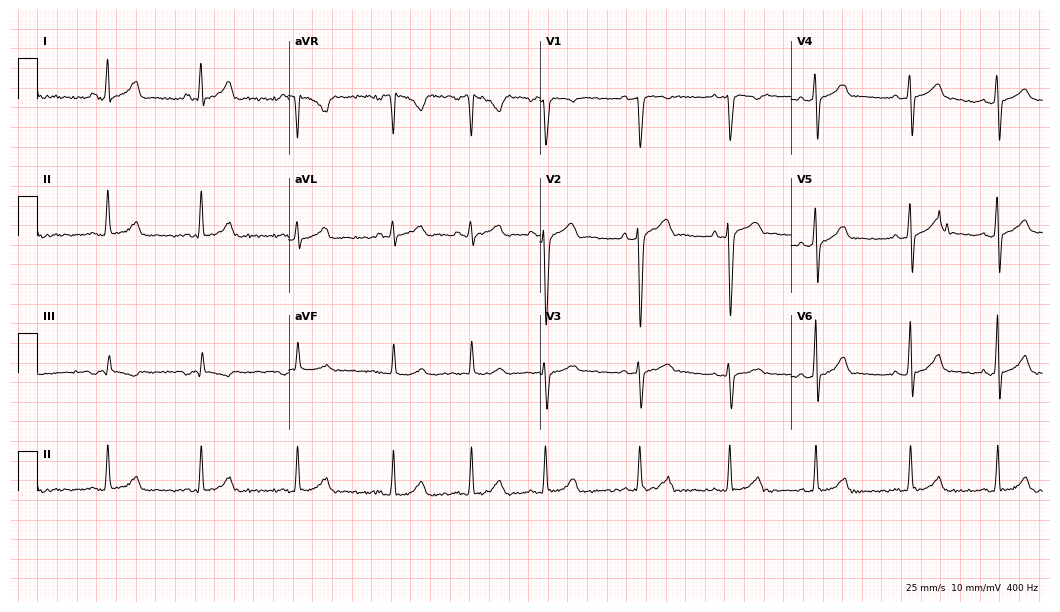
12-lead ECG from a 24-year-old male patient. Recorded interpretation: within normal limits.